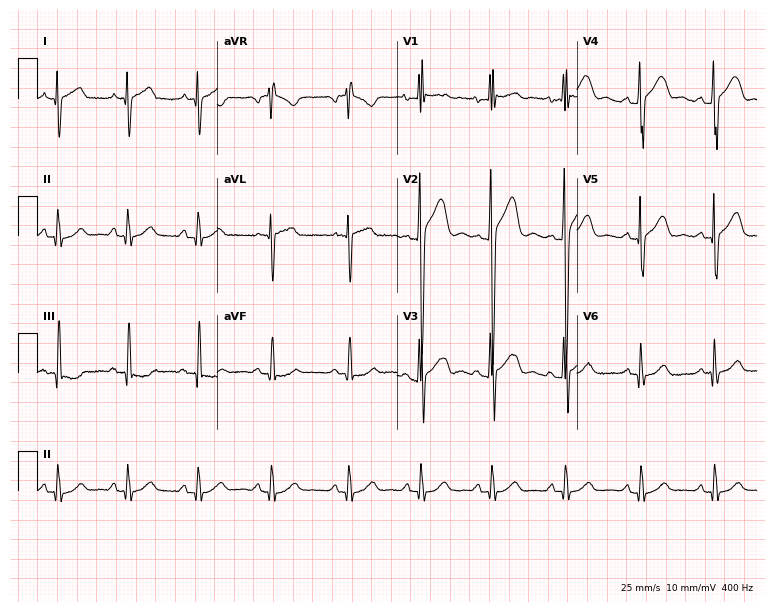
12-lead ECG from a male, 26 years old. Labelled as a normal ECG.